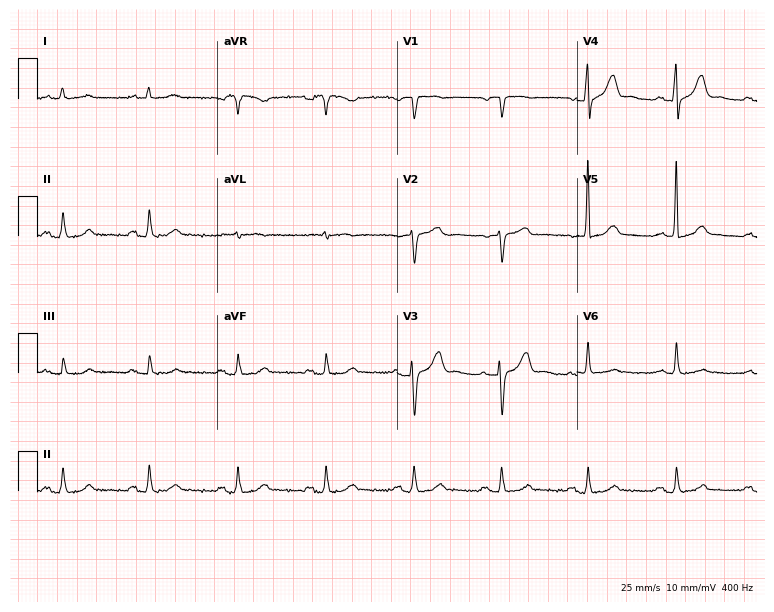
12-lead ECG from a 76-year-old male. Recorded interpretation: within normal limits.